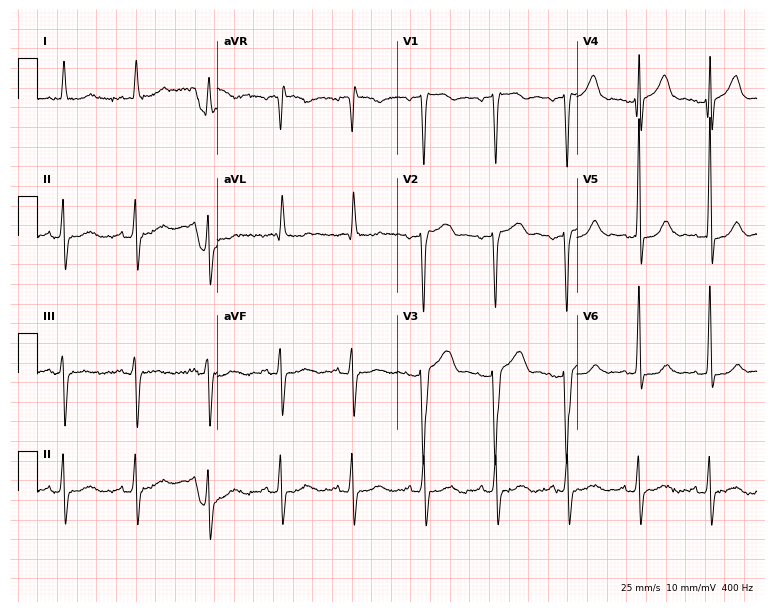
Standard 12-lead ECG recorded from an 82-year-old woman (7.3-second recording at 400 Hz). None of these six findings is recorded: first-degree AV block, right bundle branch block, left bundle branch block, sinus bradycardia, atrial fibrillation, sinus tachycardia.